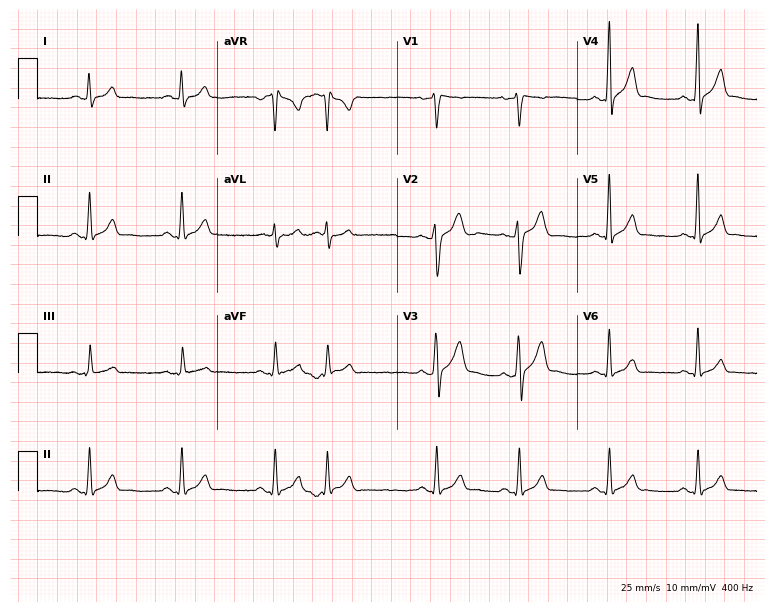
12-lead ECG from a male, 28 years old. No first-degree AV block, right bundle branch block, left bundle branch block, sinus bradycardia, atrial fibrillation or sinus tachycardia recorded for this tracing.